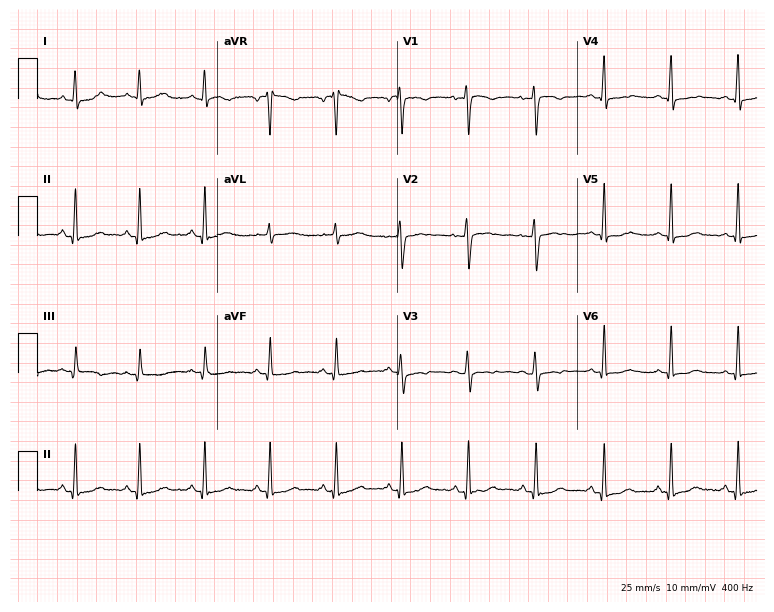
12-lead ECG (7.3-second recording at 400 Hz) from a 34-year-old female patient. Screened for six findings — first-degree AV block, right bundle branch block, left bundle branch block, sinus bradycardia, atrial fibrillation, sinus tachycardia — none is recorded. Other findings, if any, are not listed.